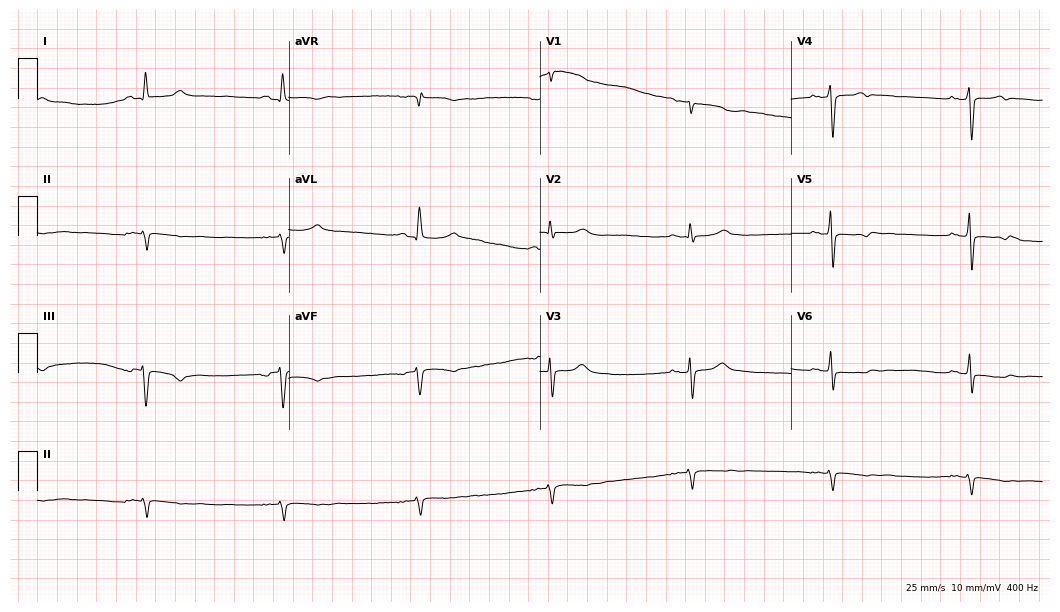
Resting 12-lead electrocardiogram (10.2-second recording at 400 Hz). Patient: a male, 66 years old. The tracing shows sinus bradycardia (a sinus rate of 50 beats per minute or less).